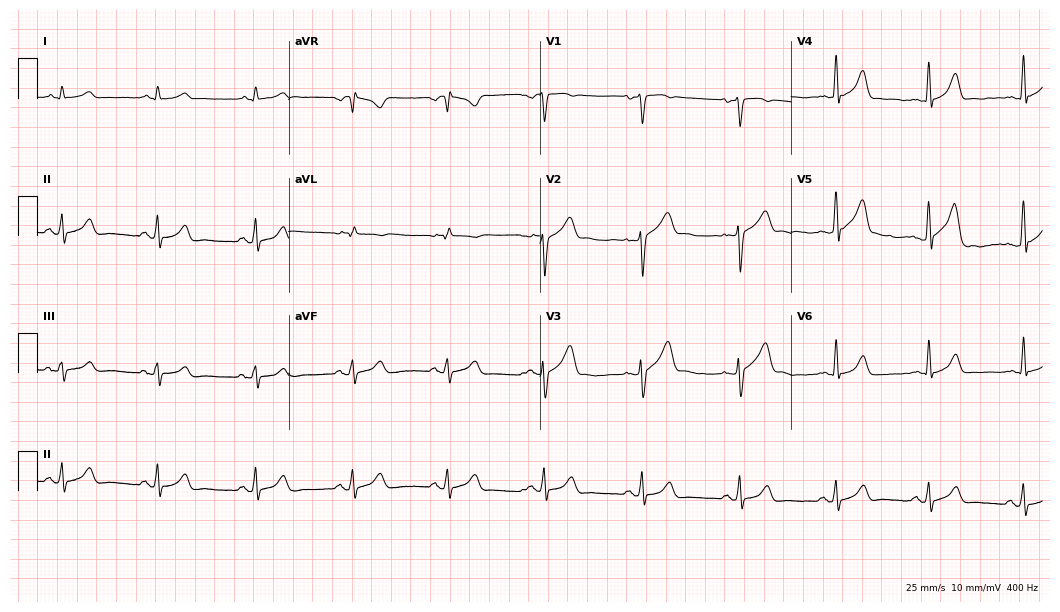
12-lead ECG (10.2-second recording at 400 Hz) from a 46-year-old male. Labelled as a normal ECG.